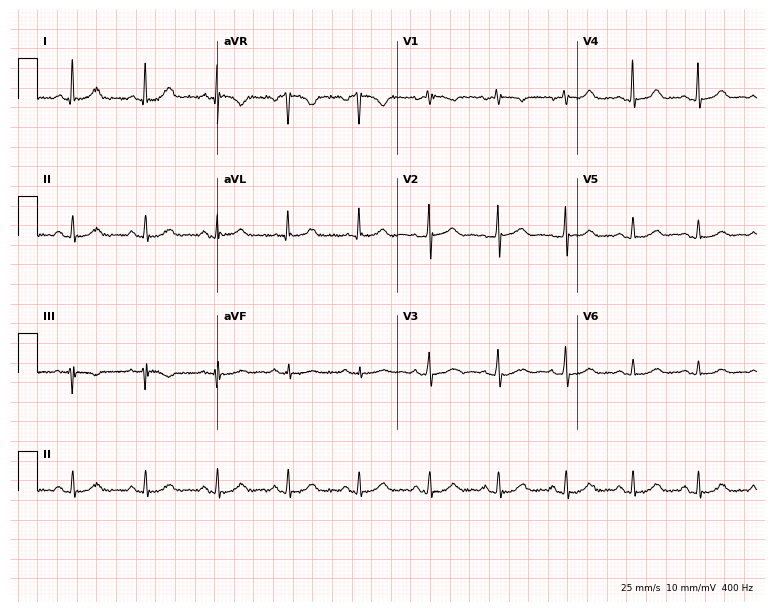
Resting 12-lead electrocardiogram (7.3-second recording at 400 Hz). Patient: a 63-year-old female. Read as a normal ECG.